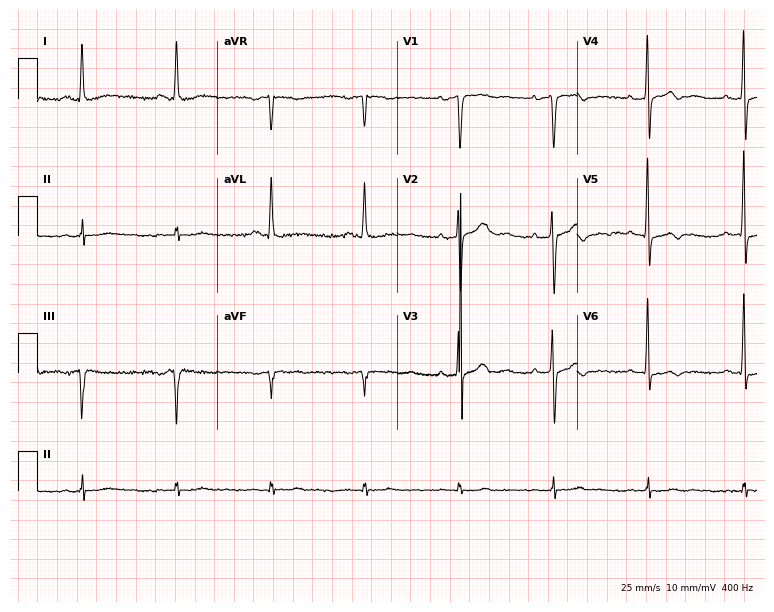
ECG — a 53-year-old female. Screened for six findings — first-degree AV block, right bundle branch block, left bundle branch block, sinus bradycardia, atrial fibrillation, sinus tachycardia — none is recorded.